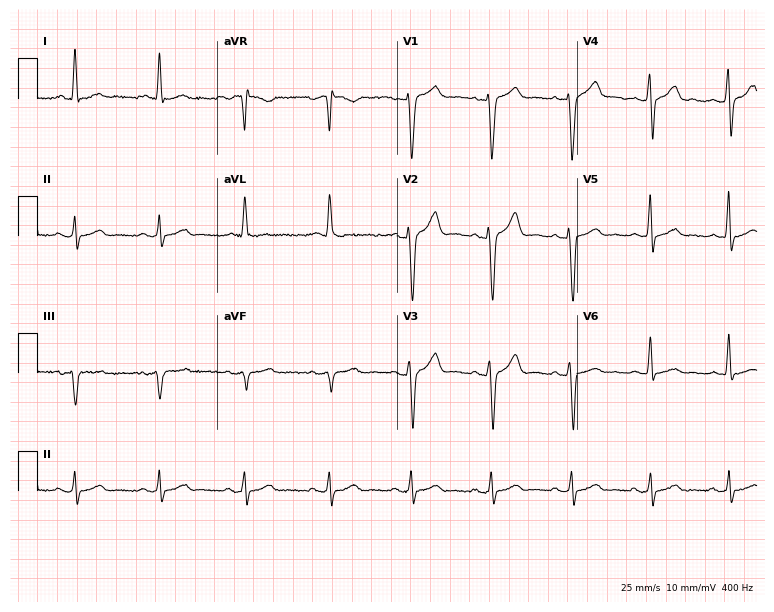
Standard 12-lead ECG recorded from a male patient, 48 years old. None of these six findings is recorded: first-degree AV block, right bundle branch block (RBBB), left bundle branch block (LBBB), sinus bradycardia, atrial fibrillation (AF), sinus tachycardia.